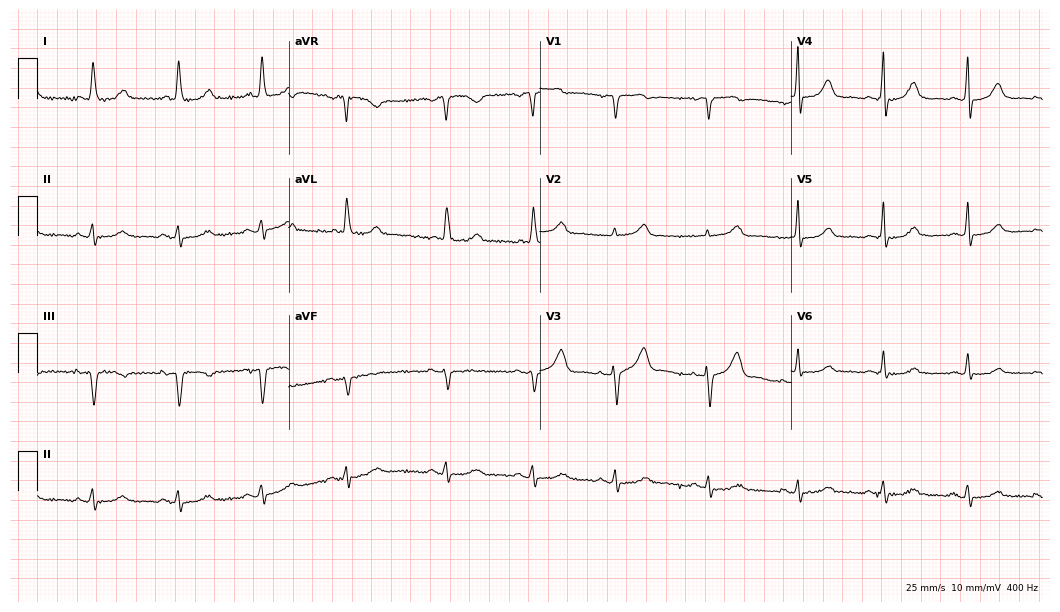
12-lead ECG from a female patient, 85 years old. Screened for six findings — first-degree AV block, right bundle branch block, left bundle branch block, sinus bradycardia, atrial fibrillation, sinus tachycardia — none is recorded. Other findings, if any, are not listed.